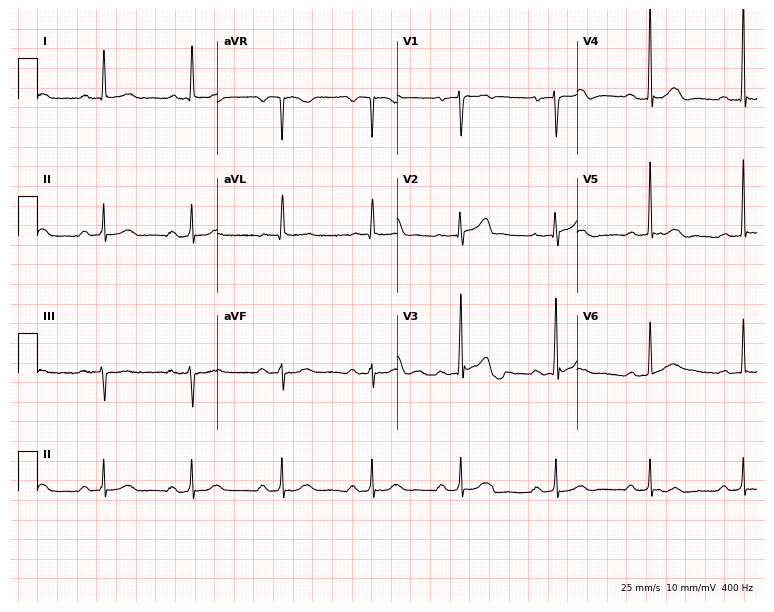
Electrocardiogram (7.3-second recording at 400 Hz), a 65-year-old male patient. Interpretation includes first-degree AV block.